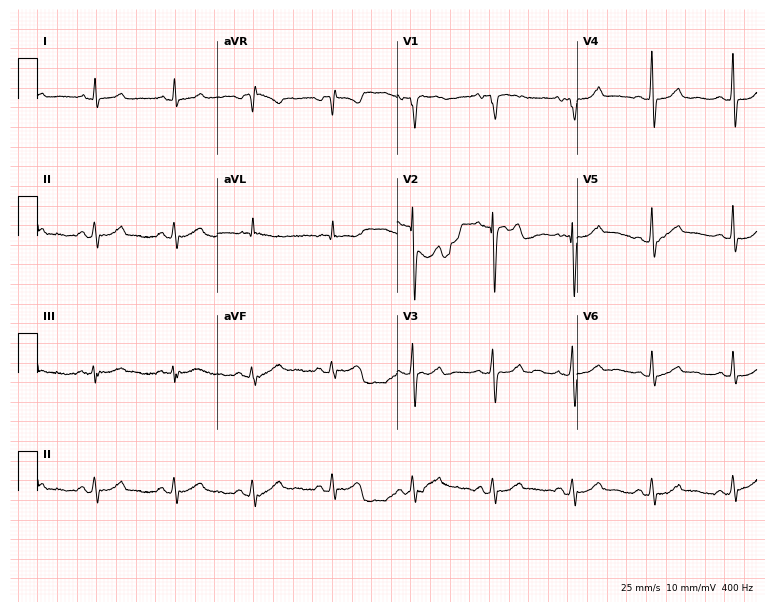
12-lead ECG from a man, 64 years old. Recorded interpretation: within normal limits.